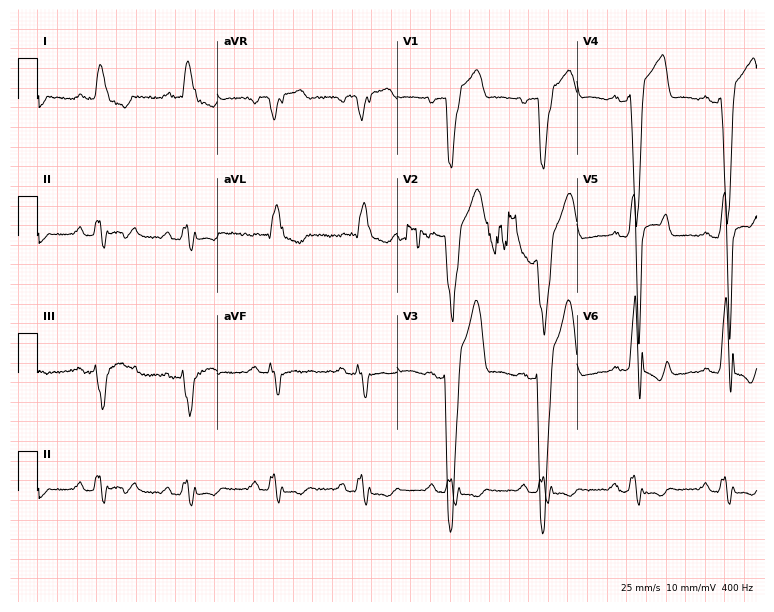
Electrocardiogram, a 64-year-old male patient. Interpretation includes left bundle branch block (LBBB).